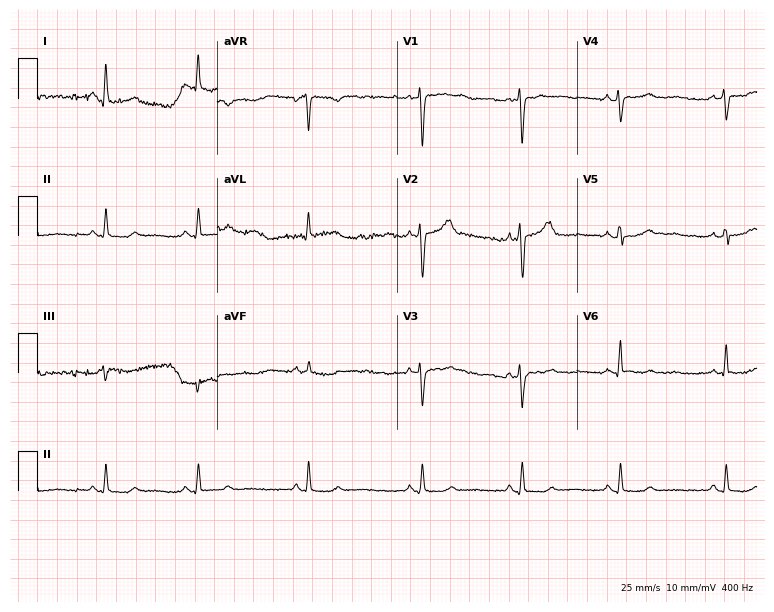
Electrocardiogram (7.3-second recording at 400 Hz), a female, 50 years old. Overall reading on record: normal ECG.